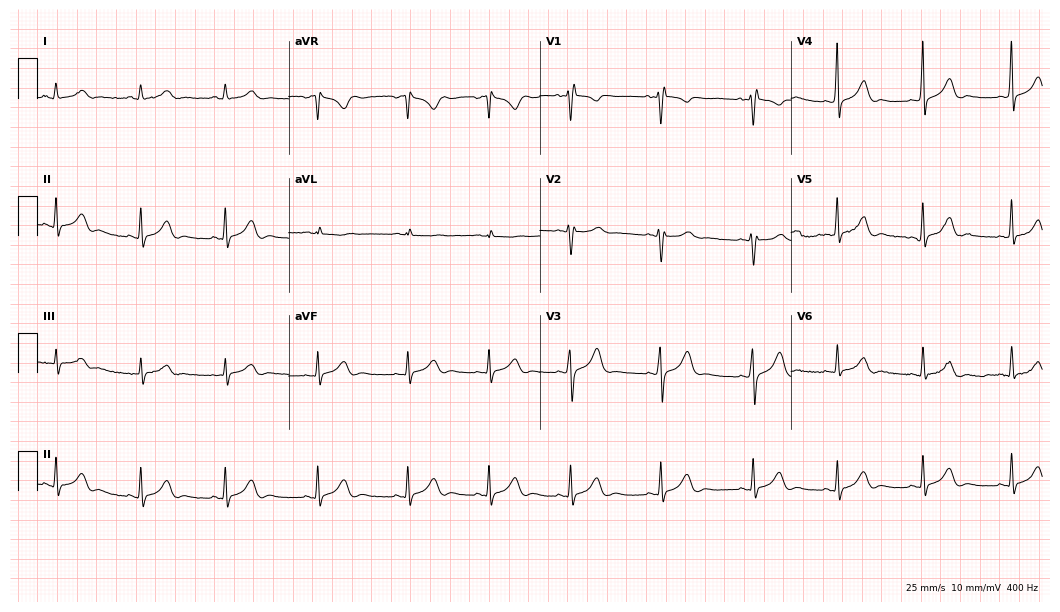
Electrocardiogram, a female patient, 17 years old. Overall reading on record: normal ECG.